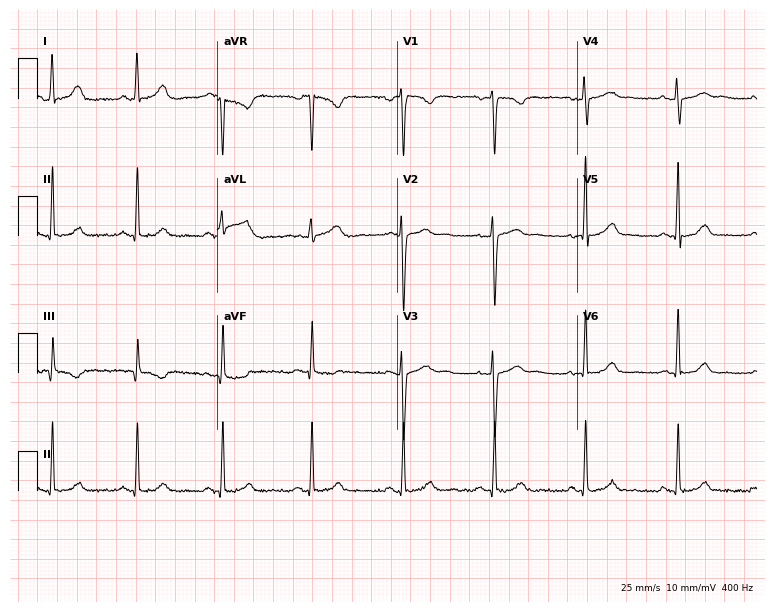
12-lead ECG (7.3-second recording at 400 Hz) from a 36-year-old female patient. Screened for six findings — first-degree AV block, right bundle branch block, left bundle branch block, sinus bradycardia, atrial fibrillation, sinus tachycardia — none is recorded.